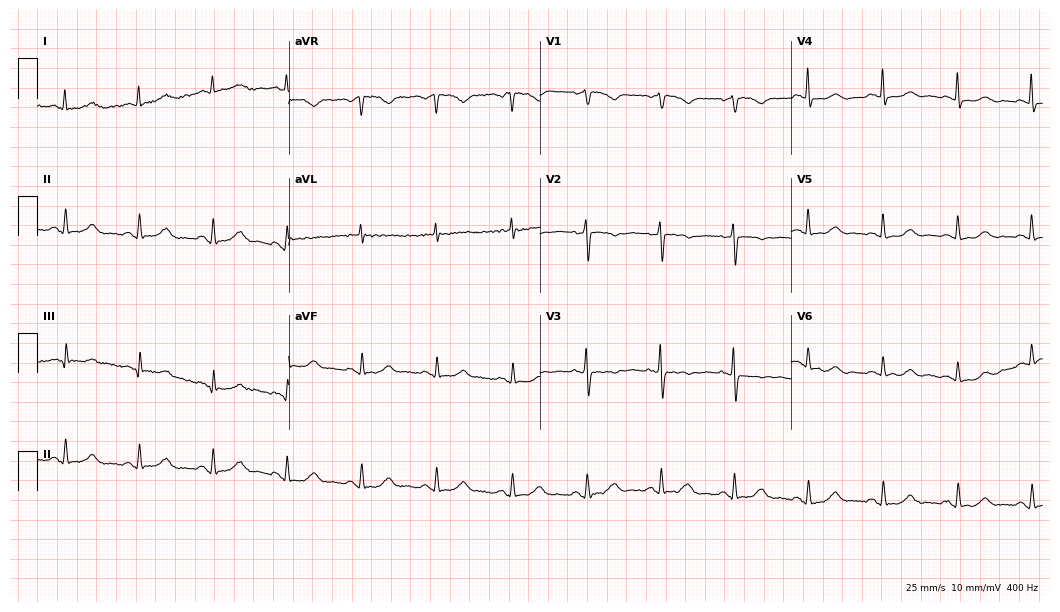
Resting 12-lead electrocardiogram. Patient: a male, 70 years old. Read as a normal ECG.